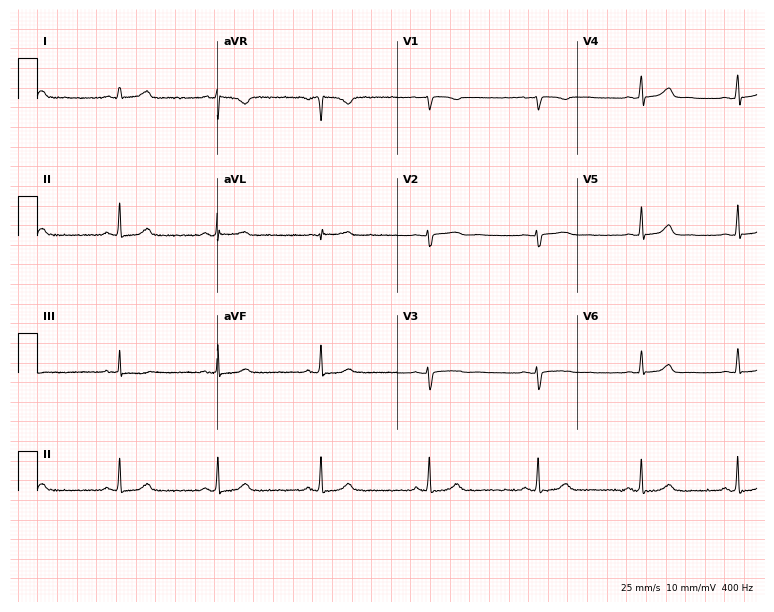
Standard 12-lead ECG recorded from a female, 29 years old. None of these six findings is recorded: first-degree AV block, right bundle branch block, left bundle branch block, sinus bradycardia, atrial fibrillation, sinus tachycardia.